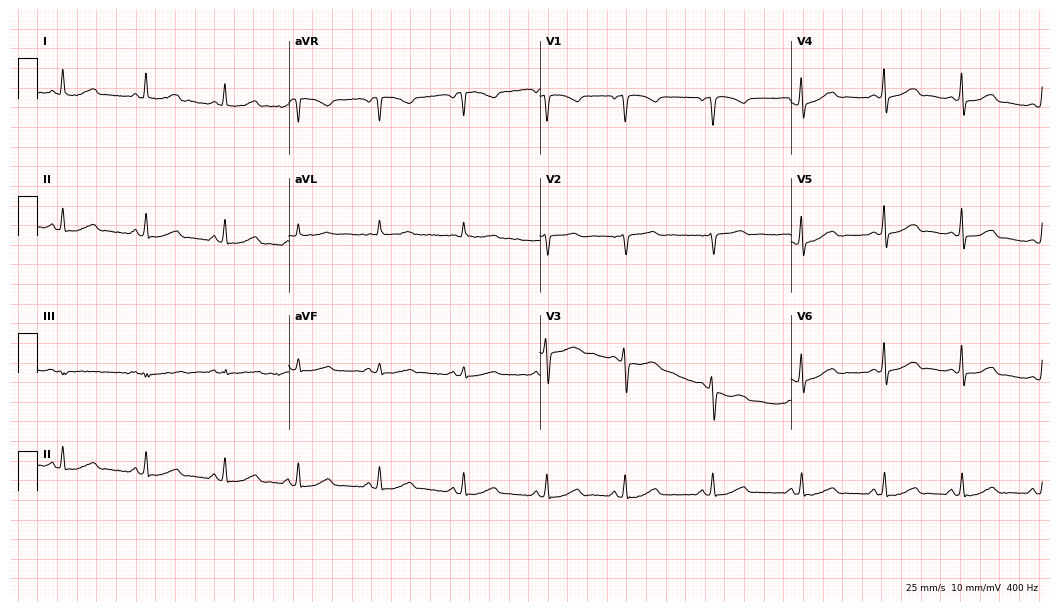
12-lead ECG from a 46-year-old female (10.2-second recording at 400 Hz). Recorded interpretation: within normal limits.